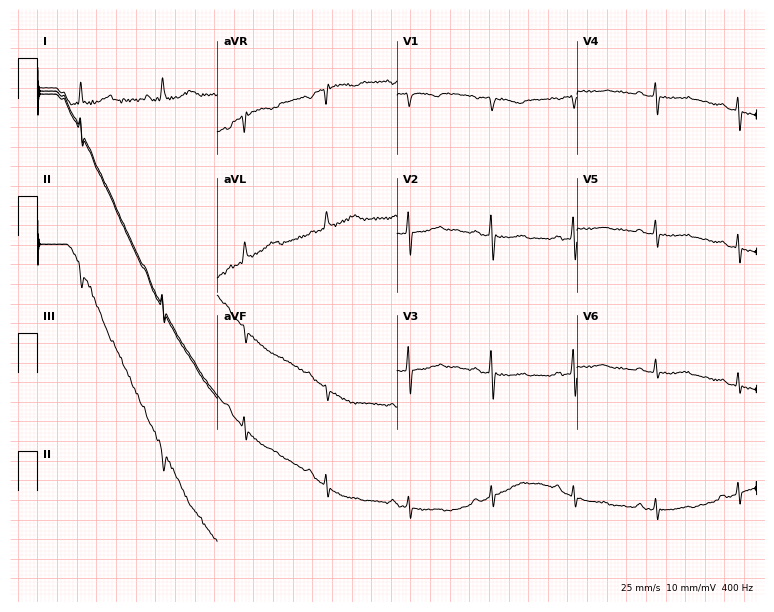
Electrocardiogram (7.3-second recording at 400 Hz), a female, 62 years old. Of the six screened findings (first-degree AV block, right bundle branch block (RBBB), left bundle branch block (LBBB), sinus bradycardia, atrial fibrillation (AF), sinus tachycardia), none is recorded. Findings outside these six are not listed.